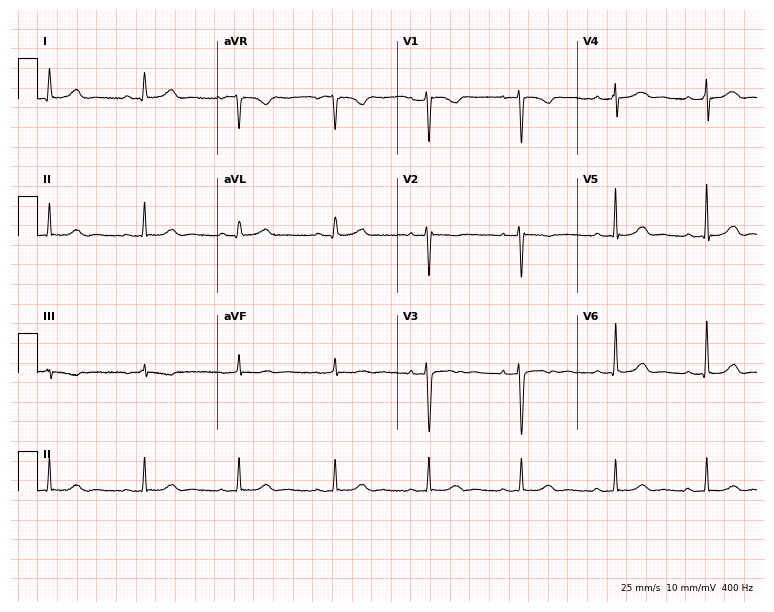
ECG — a 38-year-old female patient. Labelled as a normal ECG.